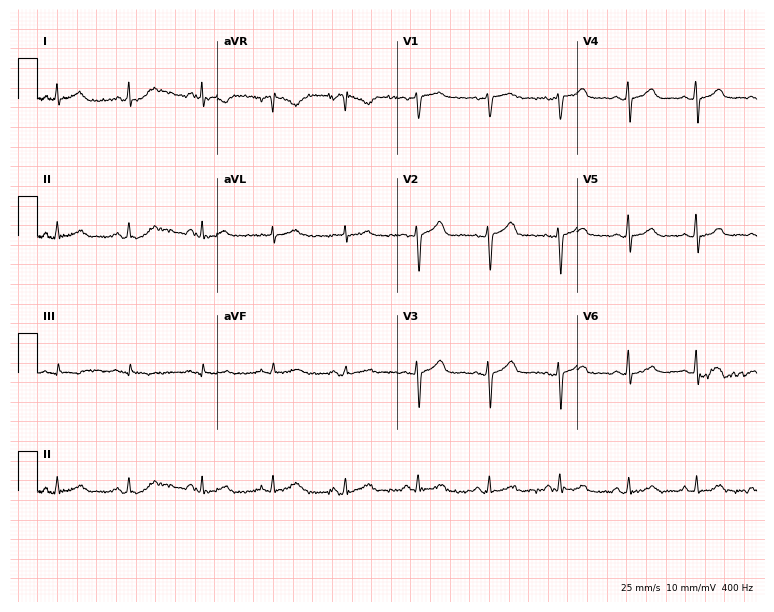
Electrocardiogram (7.3-second recording at 400 Hz), a woman, 43 years old. Overall reading on record: normal ECG.